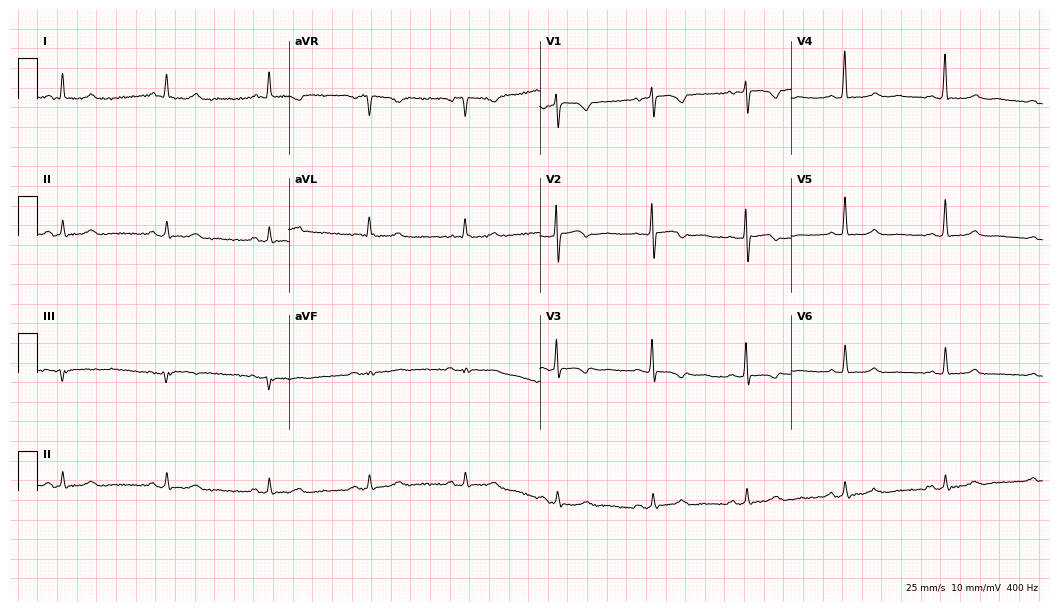
Standard 12-lead ECG recorded from a female, 54 years old (10.2-second recording at 400 Hz). Read as a normal ECG.